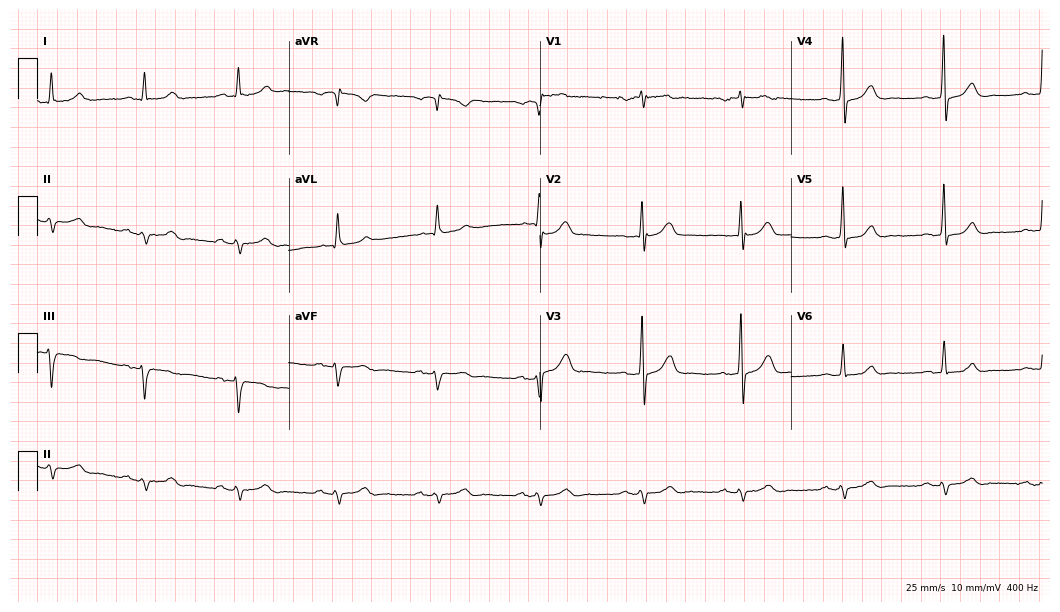
Resting 12-lead electrocardiogram. Patient: a man, 69 years old. None of these six findings is recorded: first-degree AV block, right bundle branch block (RBBB), left bundle branch block (LBBB), sinus bradycardia, atrial fibrillation (AF), sinus tachycardia.